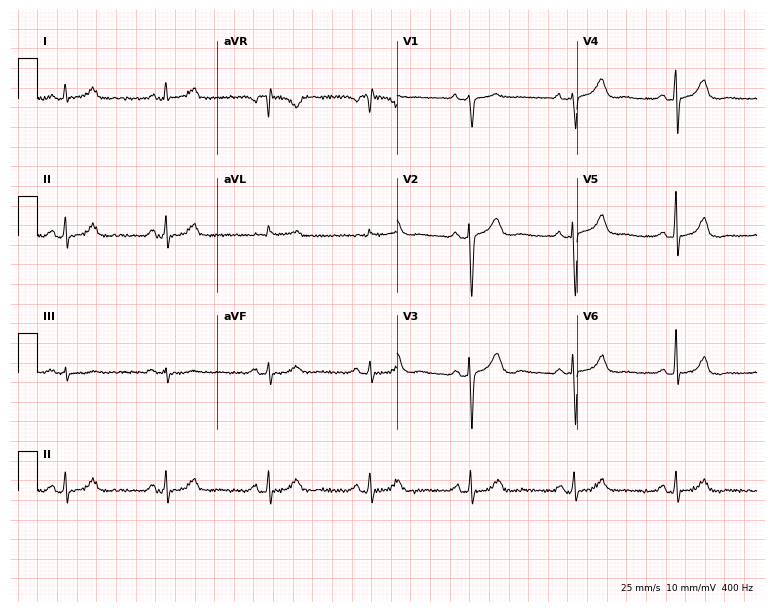
12-lead ECG (7.3-second recording at 400 Hz) from a 74-year-old female patient. Screened for six findings — first-degree AV block, right bundle branch block, left bundle branch block, sinus bradycardia, atrial fibrillation, sinus tachycardia — none is recorded. Only these six findings were labelled.